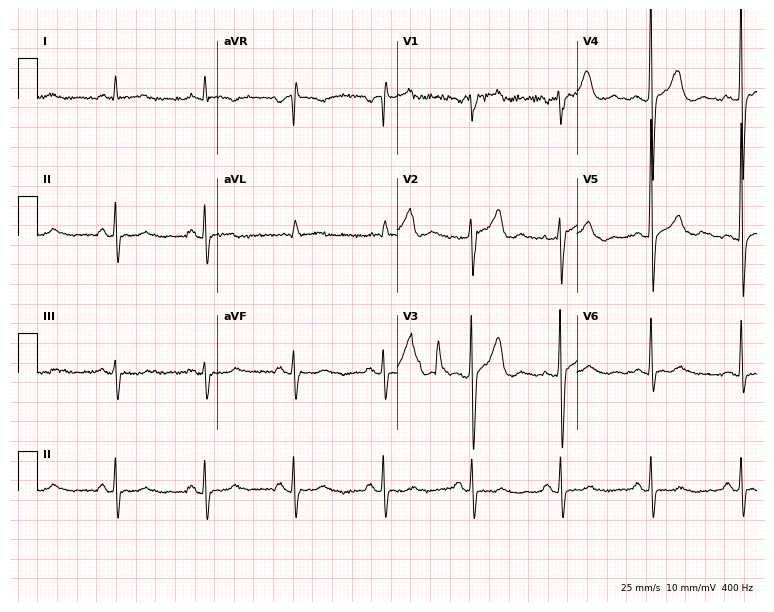
12-lead ECG from a 56-year-old man. No first-degree AV block, right bundle branch block, left bundle branch block, sinus bradycardia, atrial fibrillation or sinus tachycardia recorded for this tracing.